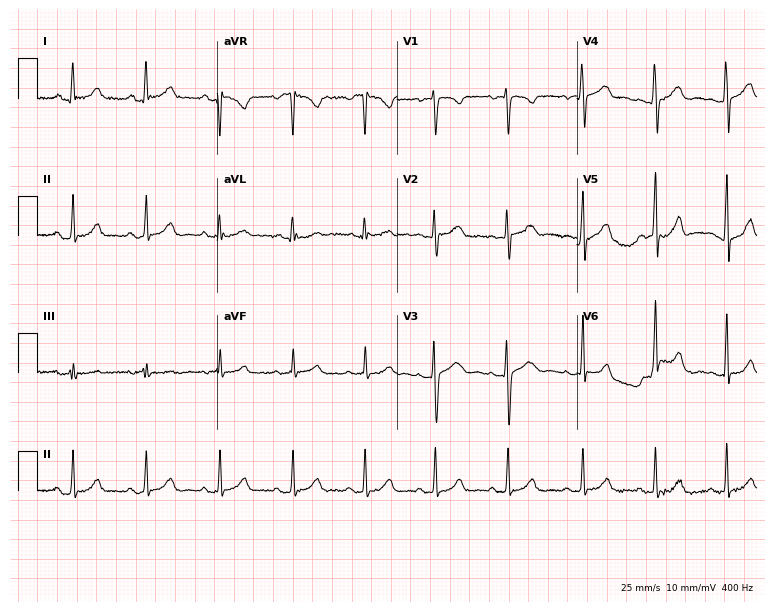
Electrocardiogram, a 19-year-old woman. Overall reading on record: normal ECG.